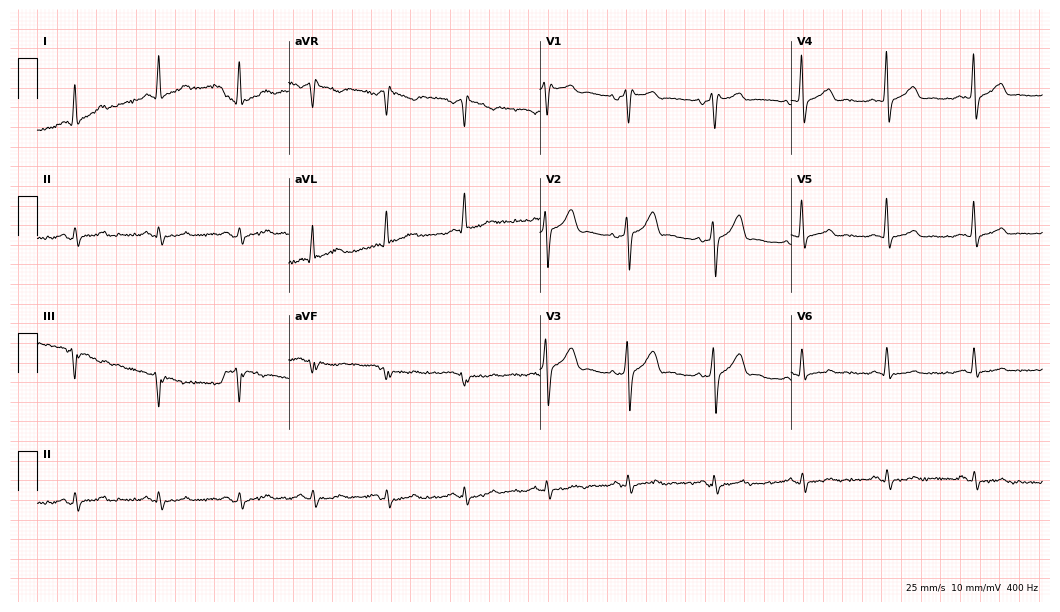
Resting 12-lead electrocardiogram (10.2-second recording at 400 Hz). Patient: a 51-year-old male. None of these six findings is recorded: first-degree AV block, right bundle branch block (RBBB), left bundle branch block (LBBB), sinus bradycardia, atrial fibrillation (AF), sinus tachycardia. Other findings, if any, are not listed.